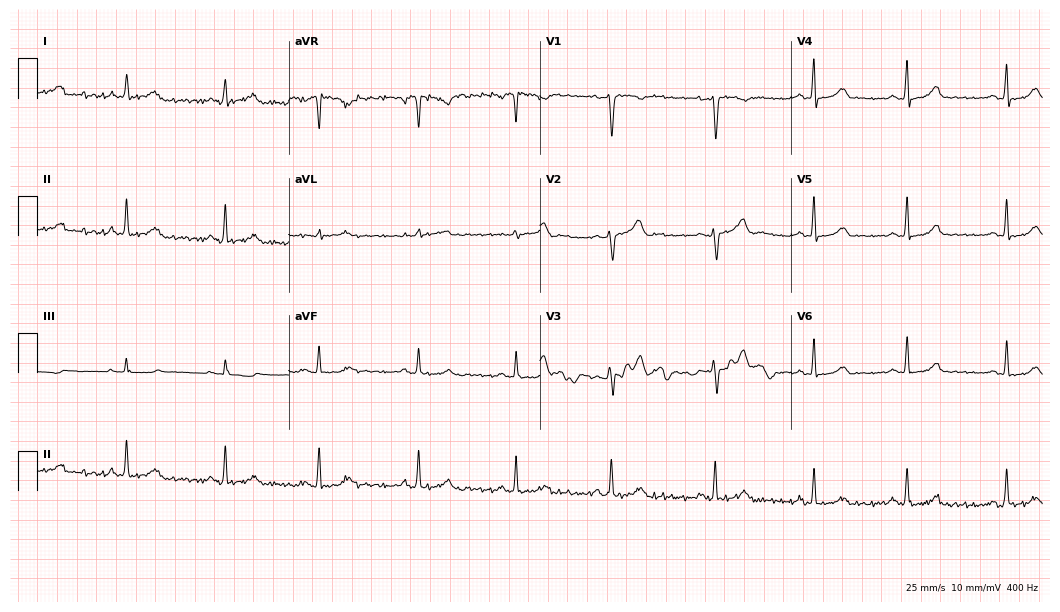
Standard 12-lead ECG recorded from a 21-year-old female patient (10.2-second recording at 400 Hz). Read as a normal ECG.